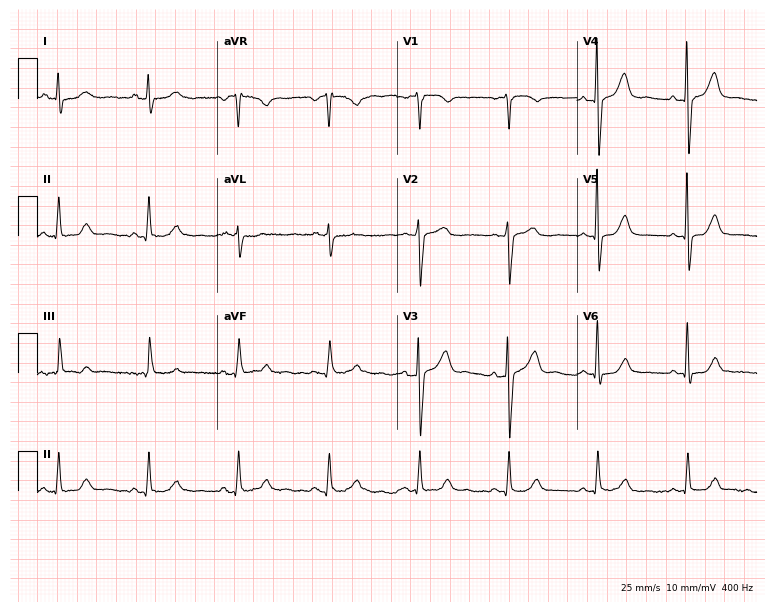
Electrocardiogram, a man, 71 years old. Overall reading on record: normal ECG.